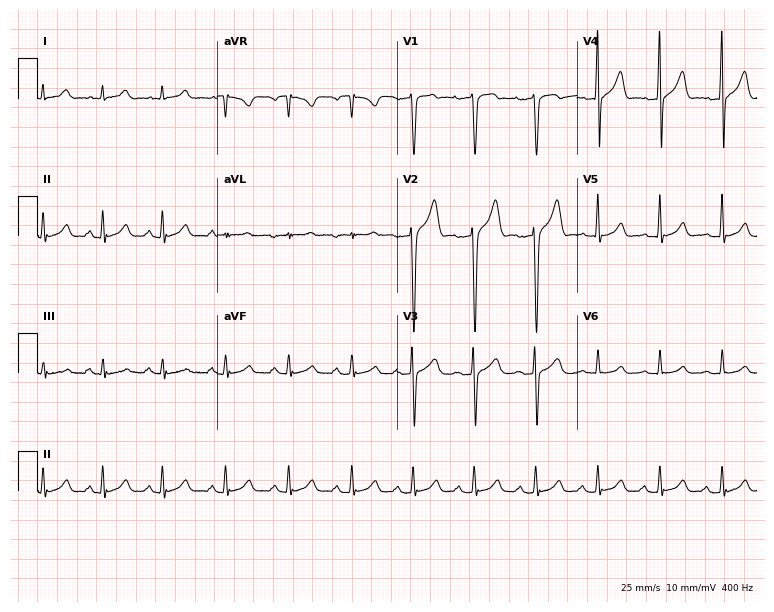
12-lead ECG from a male patient, 27 years old (7.3-second recording at 400 Hz). No first-degree AV block, right bundle branch block, left bundle branch block, sinus bradycardia, atrial fibrillation or sinus tachycardia recorded for this tracing.